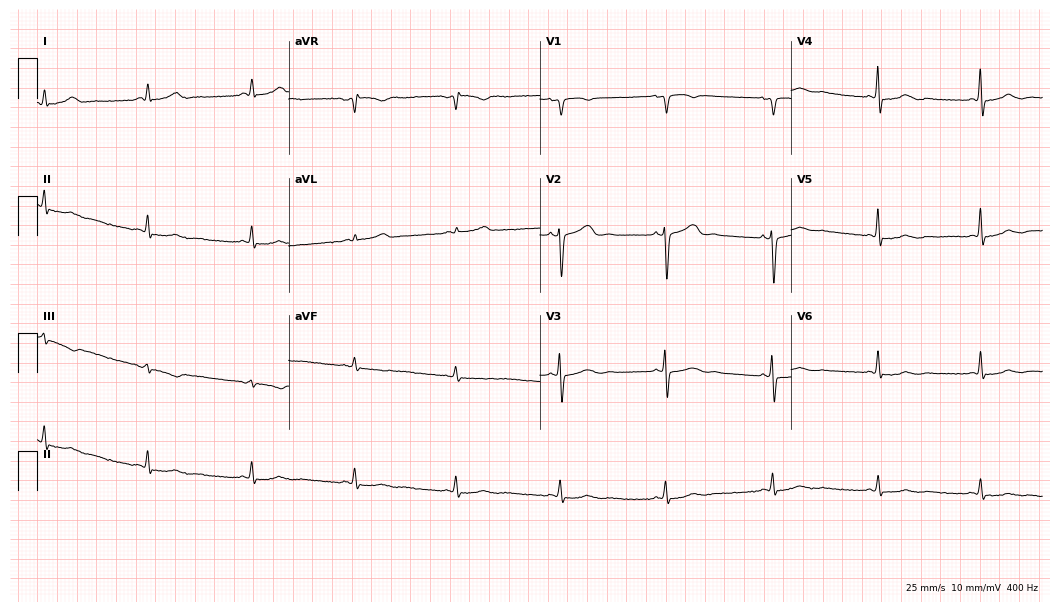
Resting 12-lead electrocardiogram (10.2-second recording at 400 Hz). Patient: a female, 44 years old. None of these six findings is recorded: first-degree AV block, right bundle branch block, left bundle branch block, sinus bradycardia, atrial fibrillation, sinus tachycardia.